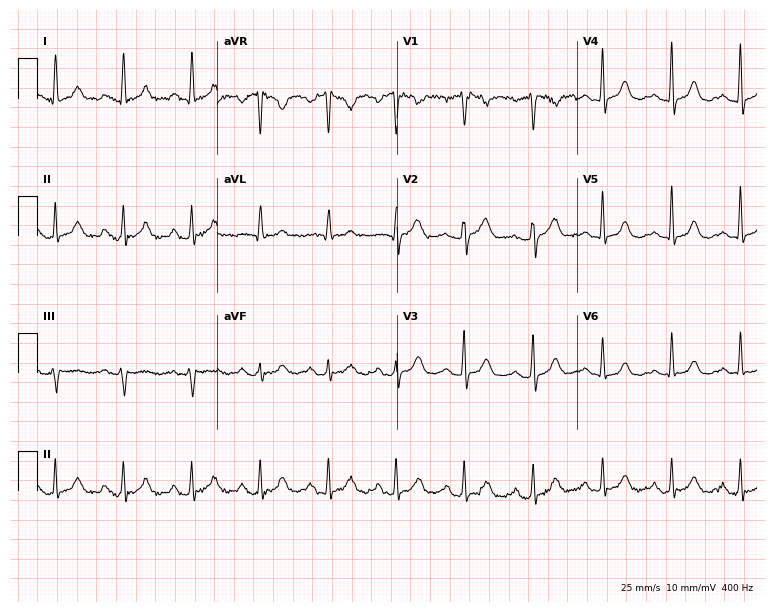
ECG (7.3-second recording at 400 Hz) — a woman, 58 years old. Screened for six findings — first-degree AV block, right bundle branch block (RBBB), left bundle branch block (LBBB), sinus bradycardia, atrial fibrillation (AF), sinus tachycardia — none is recorded. Findings outside these six are not listed.